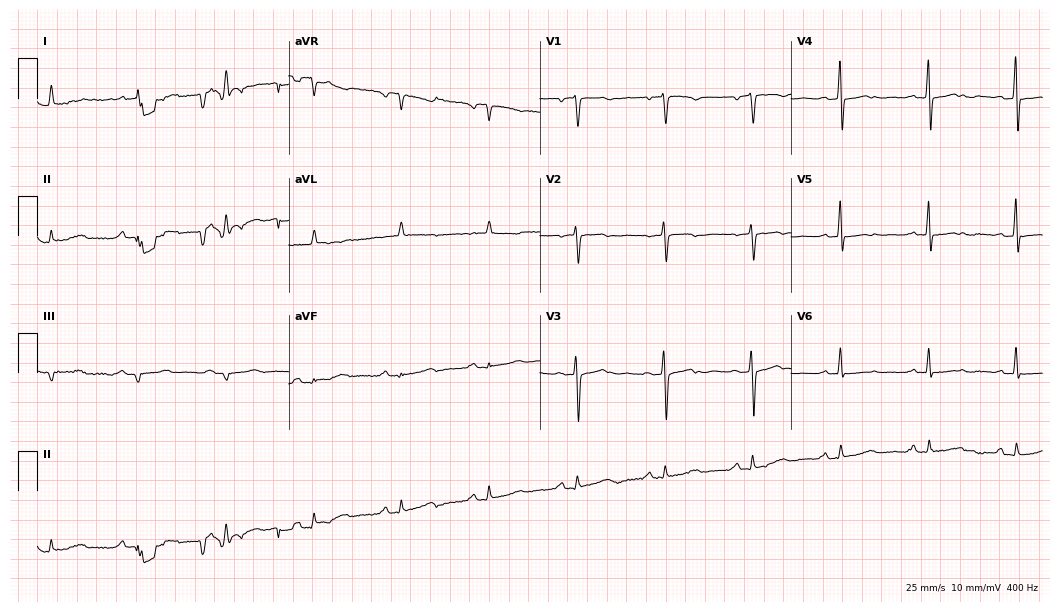
ECG — a woman, 82 years old. Screened for six findings — first-degree AV block, right bundle branch block, left bundle branch block, sinus bradycardia, atrial fibrillation, sinus tachycardia — none is recorded.